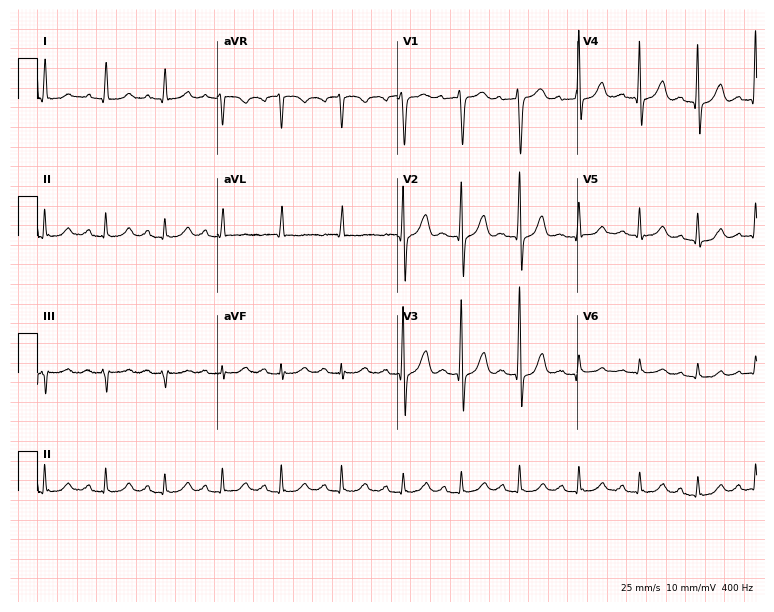
Electrocardiogram, a 65-year-old female patient. Overall reading on record: normal ECG.